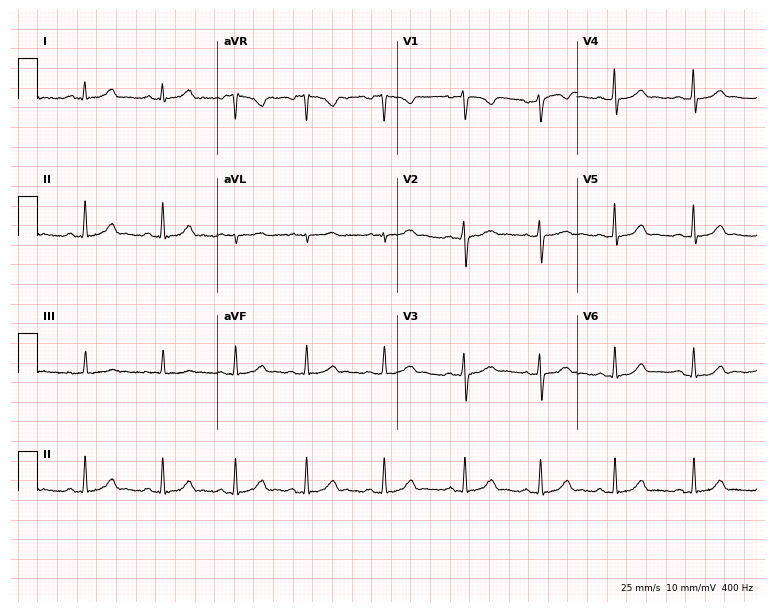
ECG (7.3-second recording at 400 Hz) — a female, 25 years old. Labelled as a normal ECG.